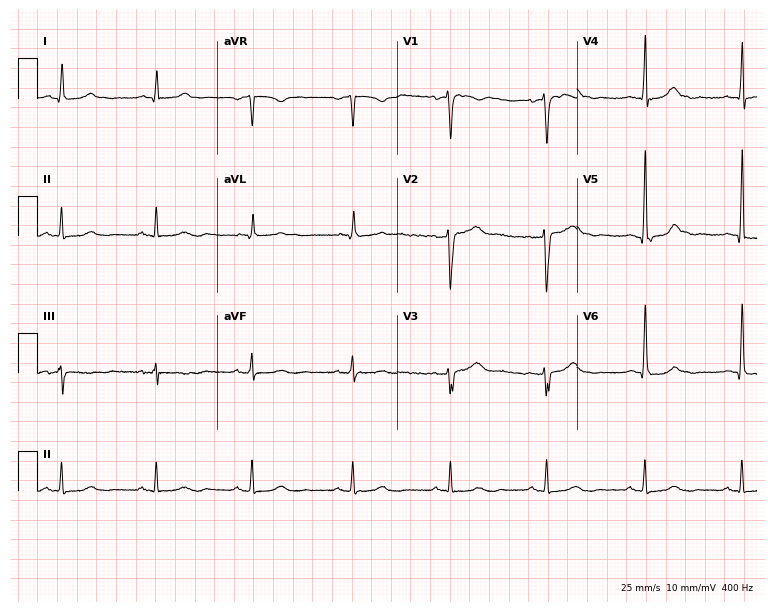
12-lead ECG (7.3-second recording at 400 Hz) from a 52-year-old female. Labelled as a normal ECG.